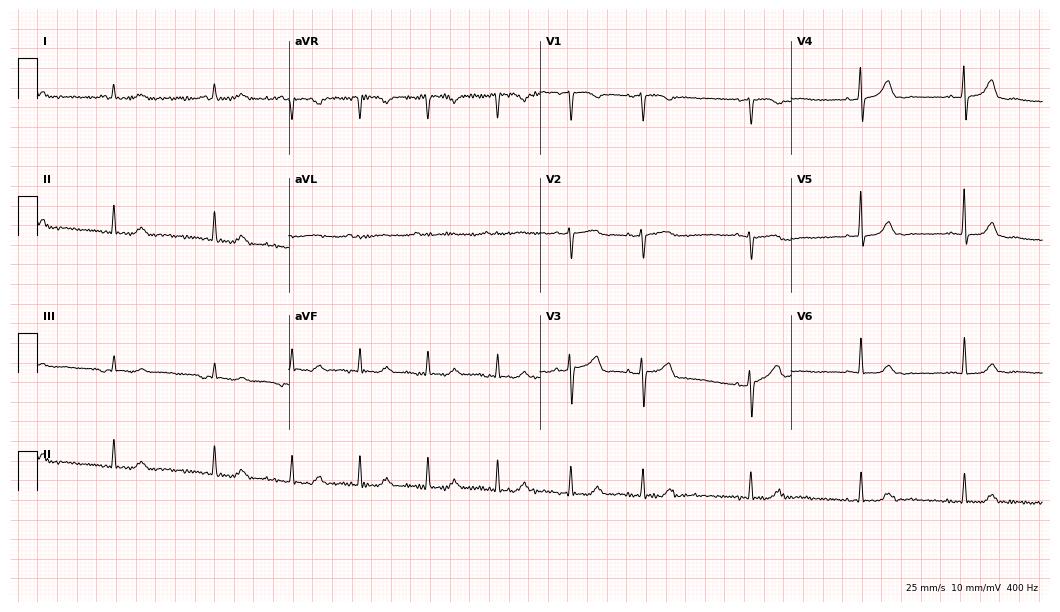
12-lead ECG from a female, 62 years old (10.2-second recording at 400 Hz). No first-degree AV block, right bundle branch block, left bundle branch block, sinus bradycardia, atrial fibrillation or sinus tachycardia recorded for this tracing.